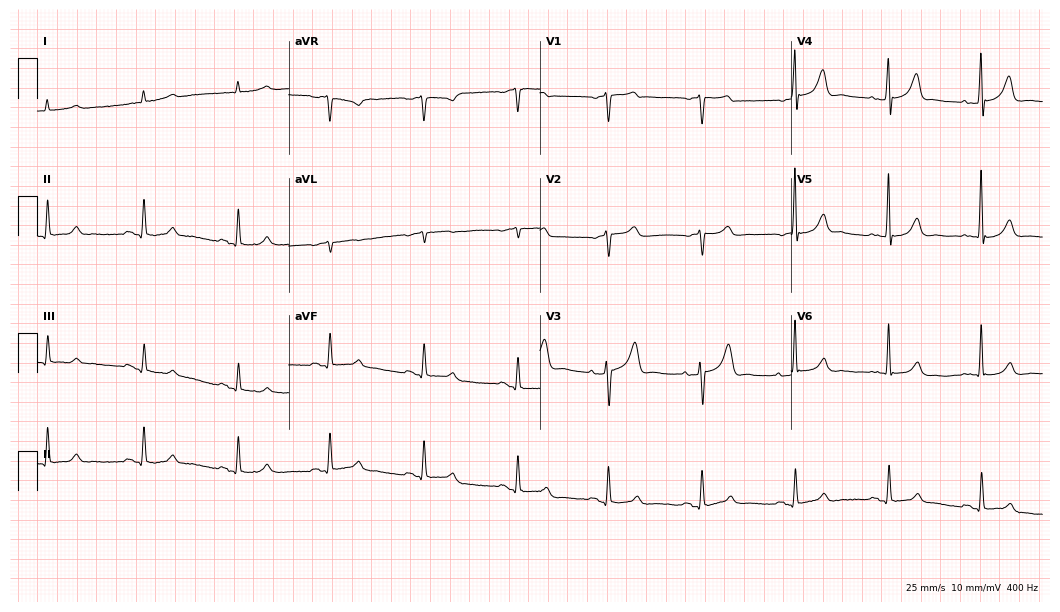
12-lead ECG from a male, 83 years old (10.2-second recording at 400 Hz). Recorded interpretation: within normal limits.